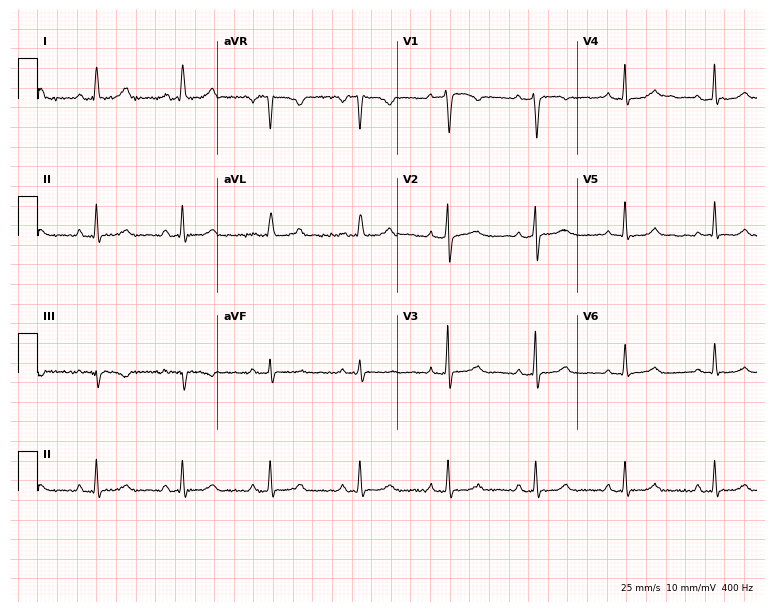
Standard 12-lead ECG recorded from a female patient, 32 years old (7.3-second recording at 400 Hz). Read as a normal ECG.